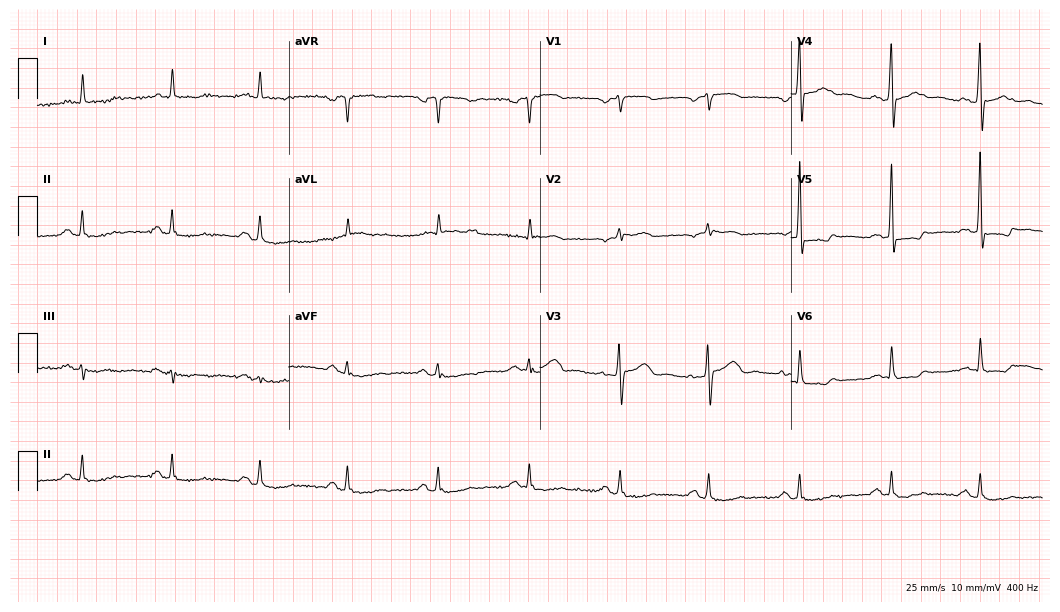
ECG (10.2-second recording at 400 Hz) — a 73-year-old man. Screened for six findings — first-degree AV block, right bundle branch block (RBBB), left bundle branch block (LBBB), sinus bradycardia, atrial fibrillation (AF), sinus tachycardia — none is recorded.